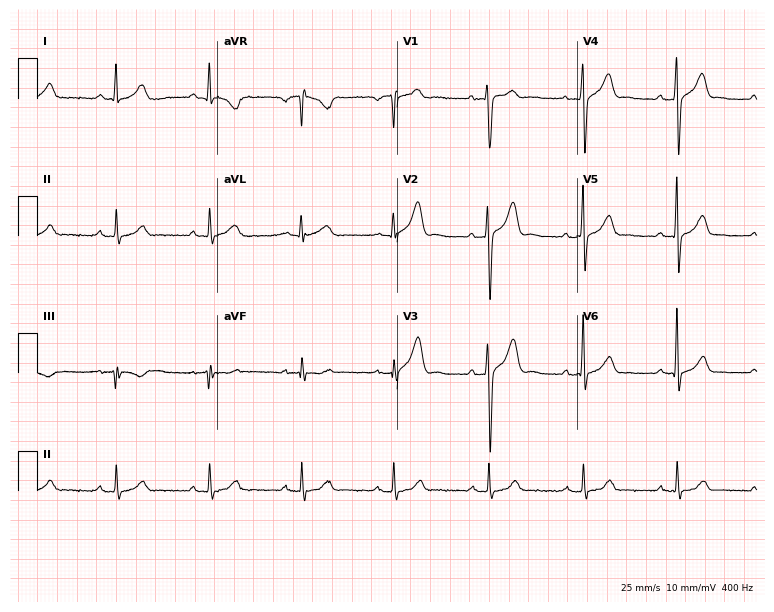
12-lead ECG from a male patient, 39 years old (7.3-second recording at 400 Hz). Recorded interpretation: within normal limits.